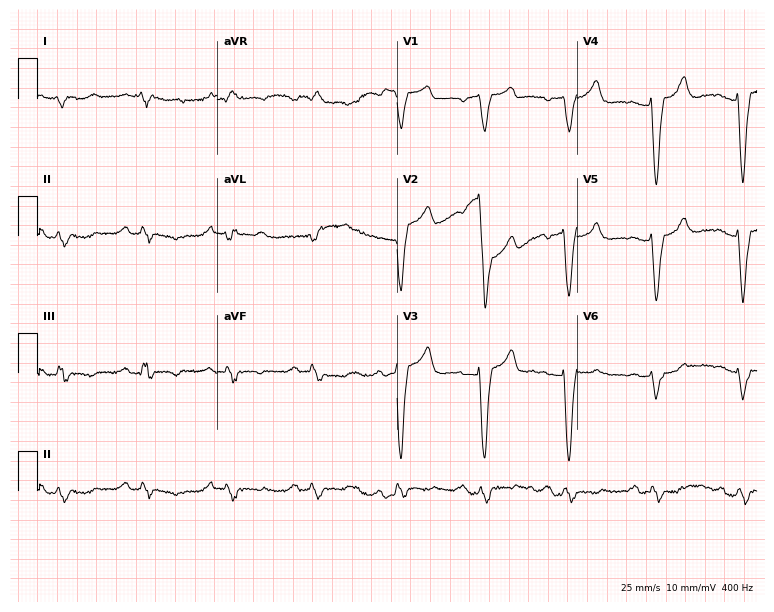
Resting 12-lead electrocardiogram. Patient: a female, 63 years old. The tracing shows left bundle branch block.